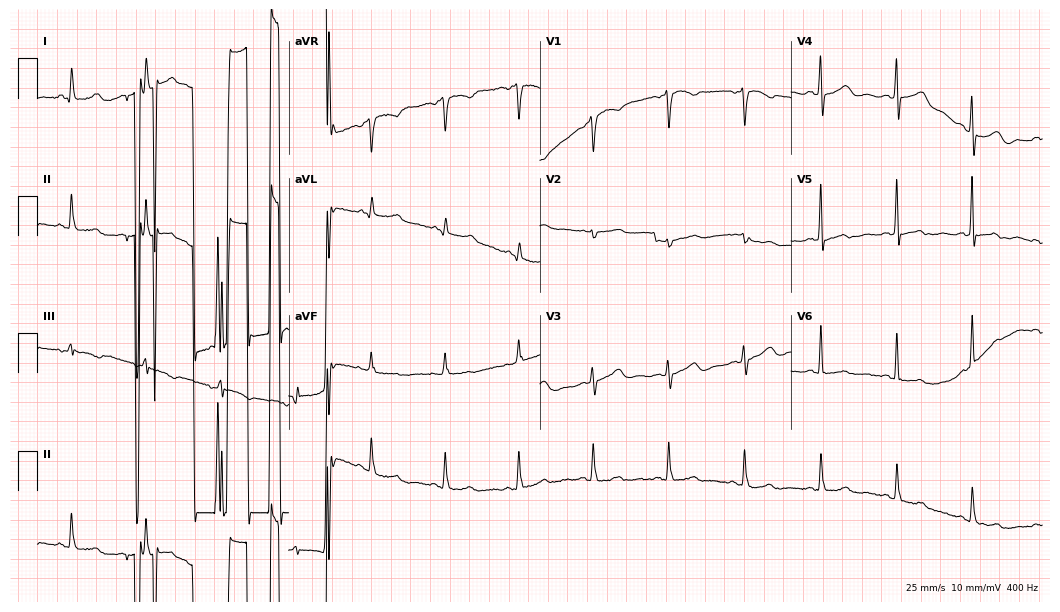
Electrocardiogram, a 56-year-old female. Of the six screened findings (first-degree AV block, right bundle branch block (RBBB), left bundle branch block (LBBB), sinus bradycardia, atrial fibrillation (AF), sinus tachycardia), none is recorded.